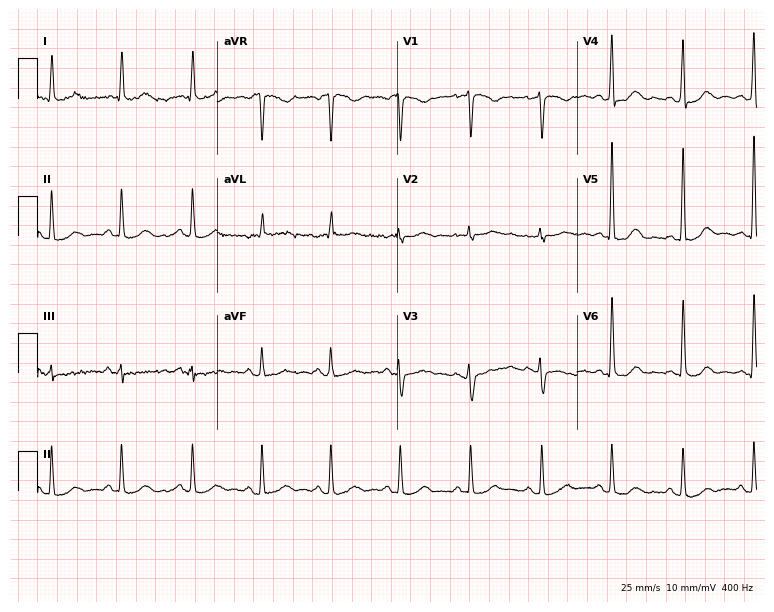
12-lead ECG from a female patient, 62 years old. Recorded interpretation: within normal limits.